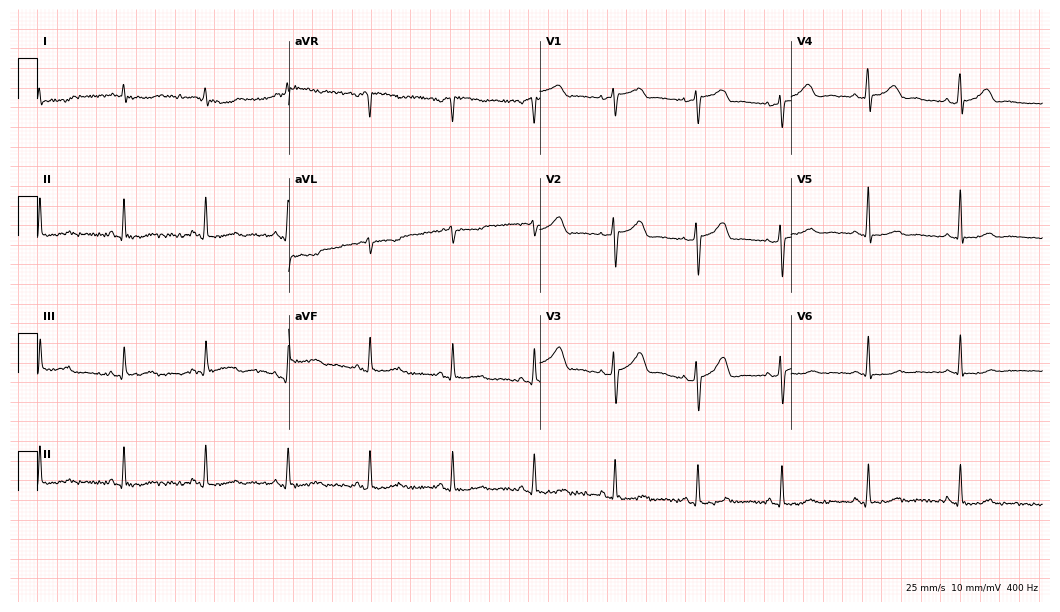
12-lead ECG from a female patient, 57 years old. Screened for six findings — first-degree AV block, right bundle branch block (RBBB), left bundle branch block (LBBB), sinus bradycardia, atrial fibrillation (AF), sinus tachycardia — none is recorded.